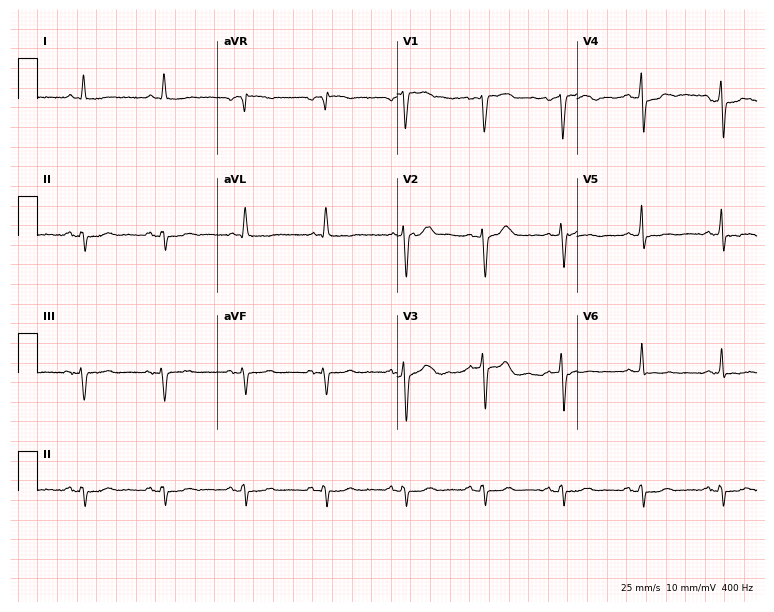
Standard 12-lead ECG recorded from an 84-year-old man (7.3-second recording at 400 Hz). None of these six findings is recorded: first-degree AV block, right bundle branch block (RBBB), left bundle branch block (LBBB), sinus bradycardia, atrial fibrillation (AF), sinus tachycardia.